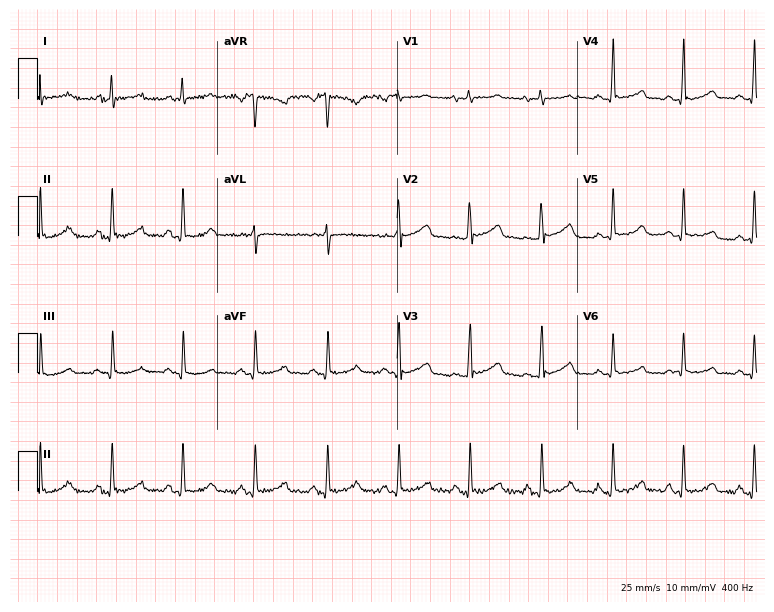
ECG (7.3-second recording at 400 Hz) — a woman, 48 years old. Screened for six findings — first-degree AV block, right bundle branch block, left bundle branch block, sinus bradycardia, atrial fibrillation, sinus tachycardia — none is recorded.